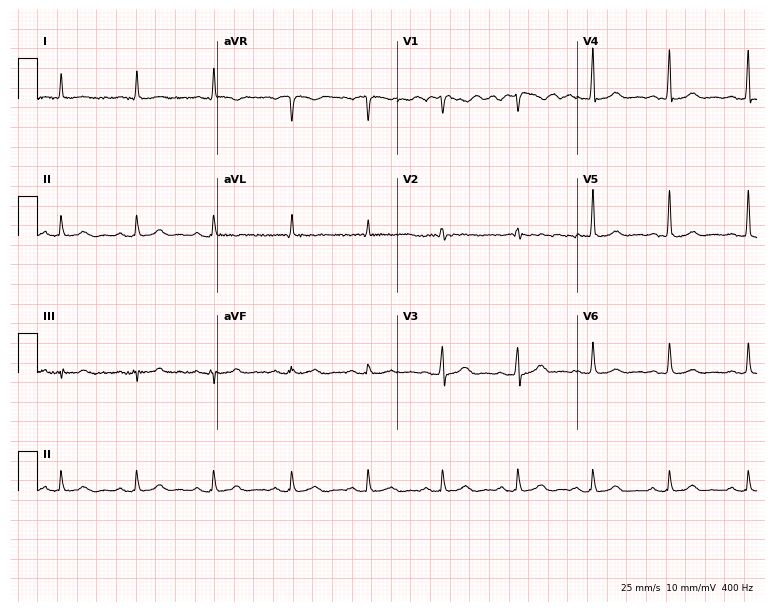
12-lead ECG (7.3-second recording at 400 Hz) from a 53-year-old man. Screened for six findings — first-degree AV block, right bundle branch block (RBBB), left bundle branch block (LBBB), sinus bradycardia, atrial fibrillation (AF), sinus tachycardia — none is recorded.